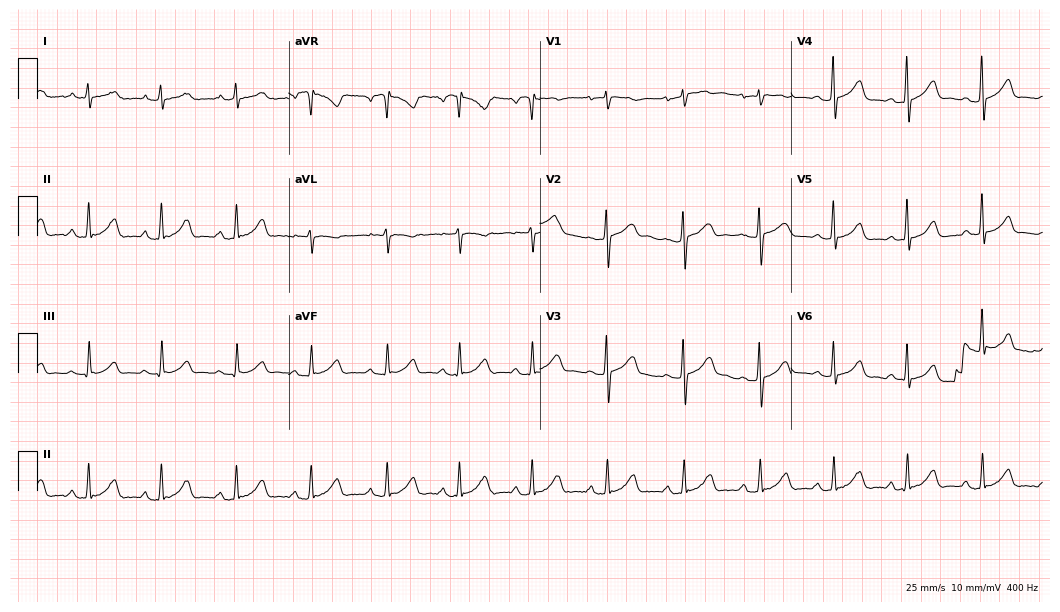
Resting 12-lead electrocardiogram (10.2-second recording at 400 Hz). Patient: a female, 28 years old. Read as a normal ECG.